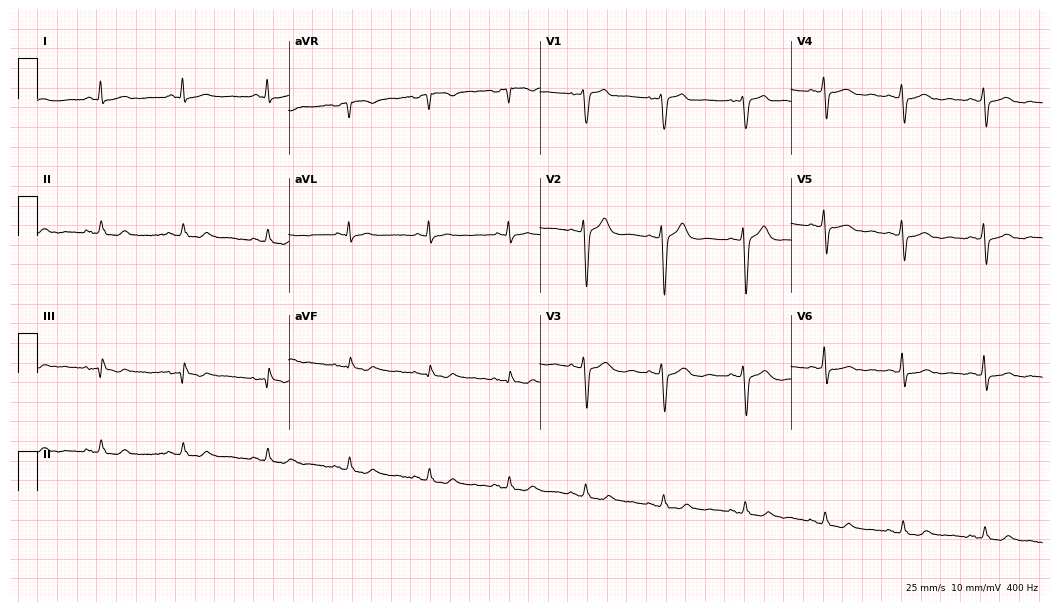
12-lead ECG from a male patient, 50 years old. Labelled as a normal ECG.